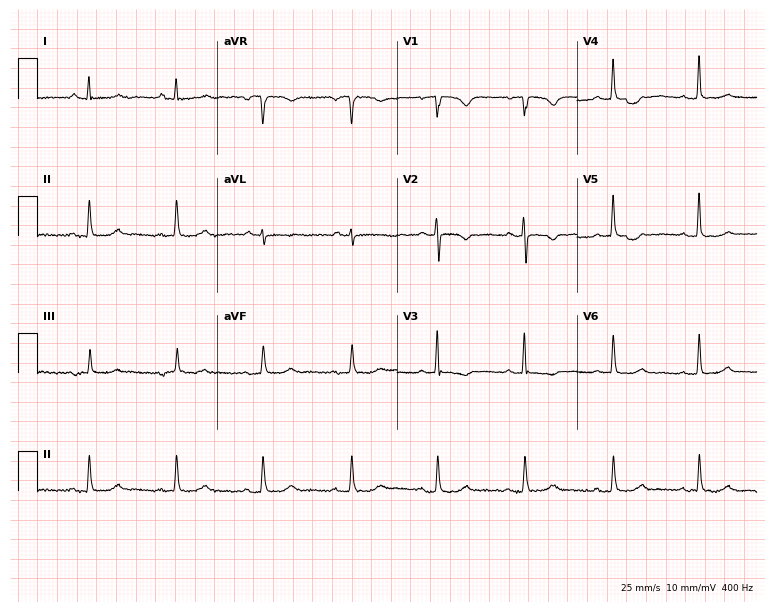
ECG — a 55-year-old woman. Screened for six findings — first-degree AV block, right bundle branch block, left bundle branch block, sinus bradycardia, atrial fibrillation, sinus tachycardia — none is recorded.